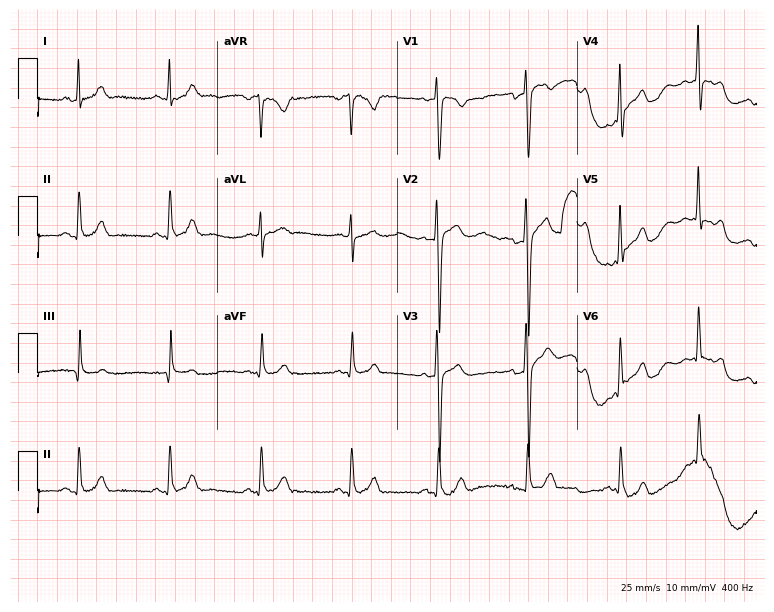
Standard 12-lead ECG recorded from a 30-year-old male patient (7.3-second recording at 400 Hz). Read as a normal ECG.